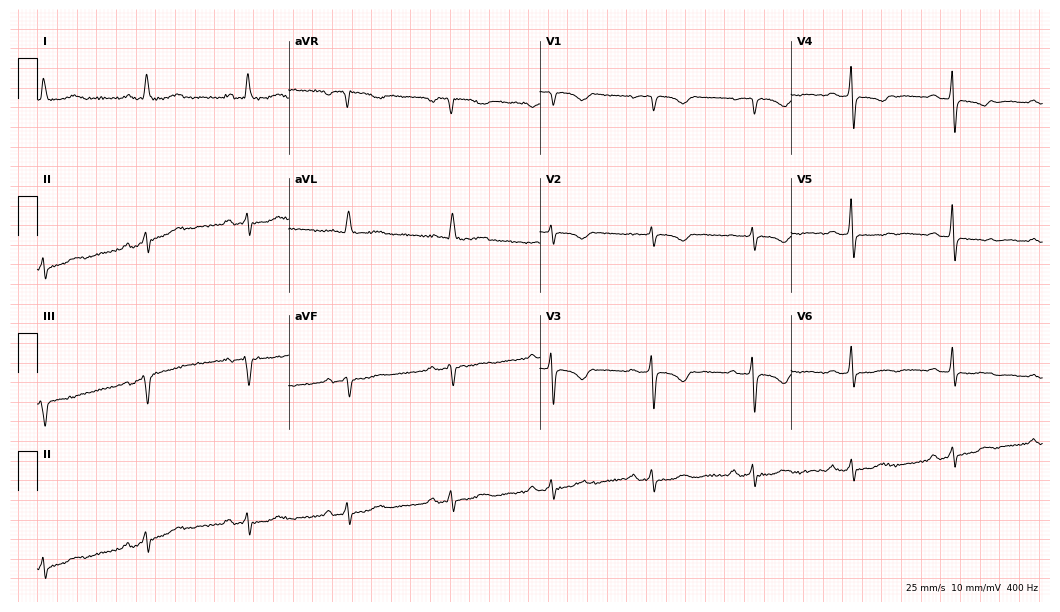
12-lead ECG (10.2-second recording at 400 Hz) from a female, 67 years old. Screened for six findings — first-degree AV block, right bundle branch block, left bundle branch block, sinus bradycardia, atrial fibrillation, sinus tachycardia — none is recorded.